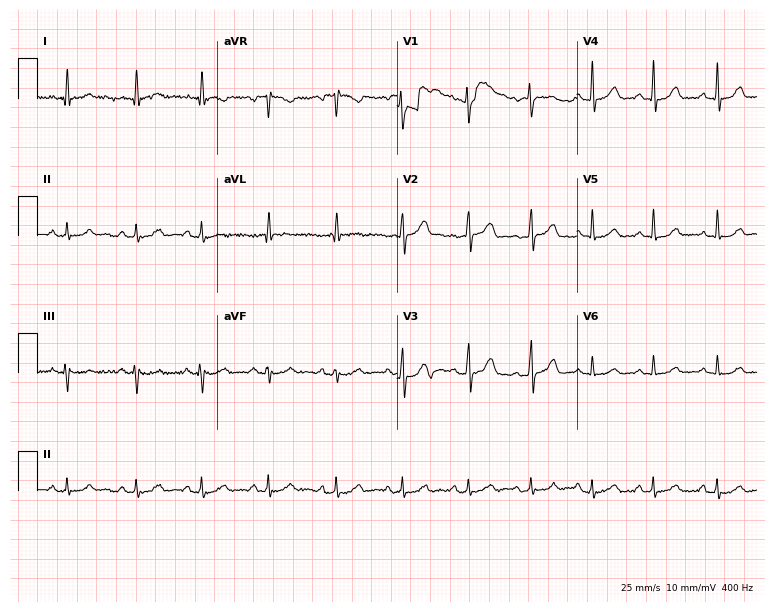
Electrocardiogram (7.3-second recording at 400 Hz), a female patient, 55 years old. Overall reading on record: normal ECG.